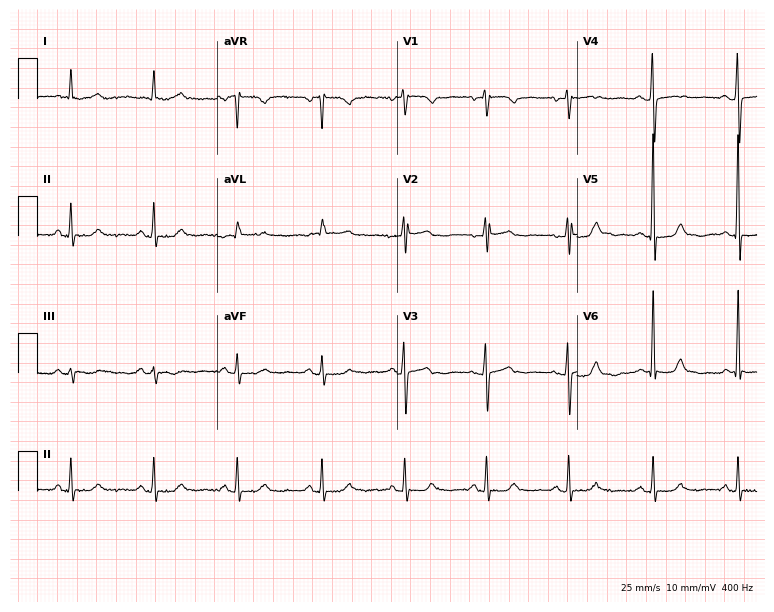
12-lead ECG (7.3-second recording at 400 Hz) from a woman, 65 years old. Labelled as a normal ECG.